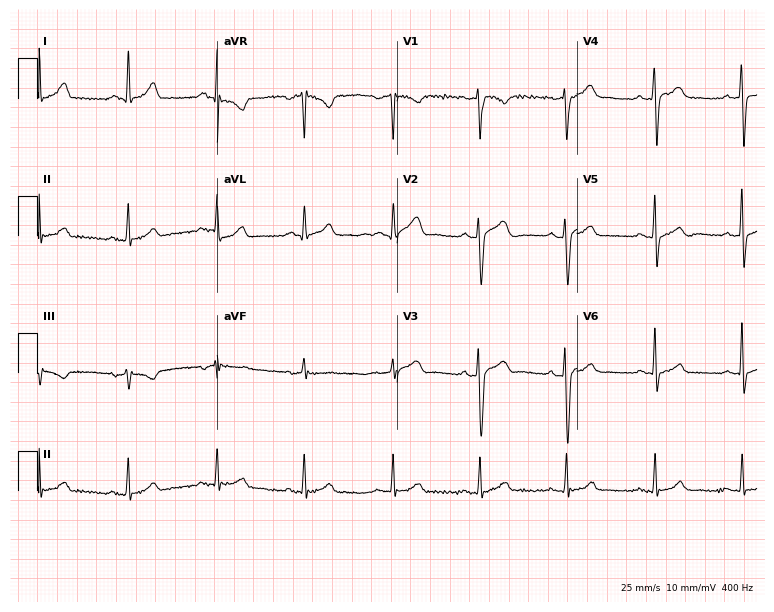
Standard 12-lead ECG recorded from a male, 39 years old. Read as a normal ECG.